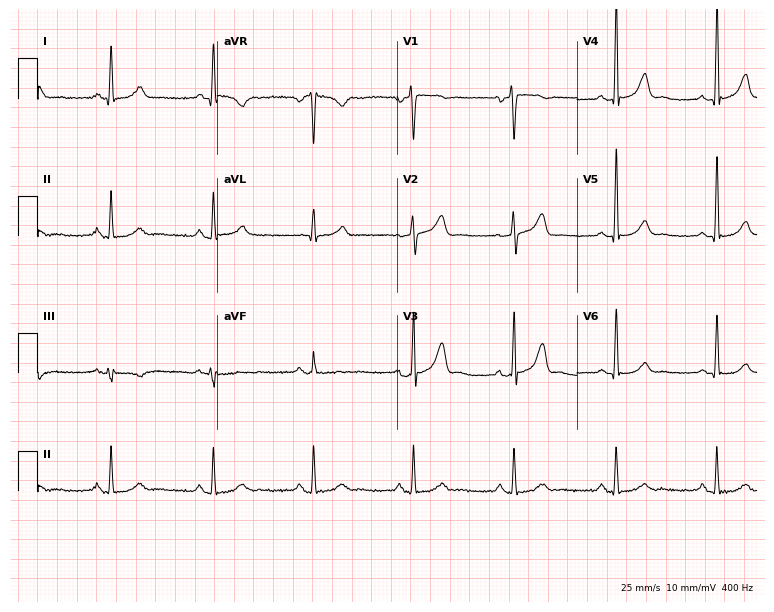
12-lead ECG (7.3-second recording at 400 Hz) from a man, 65 years old. Labelled as a normal ECG.